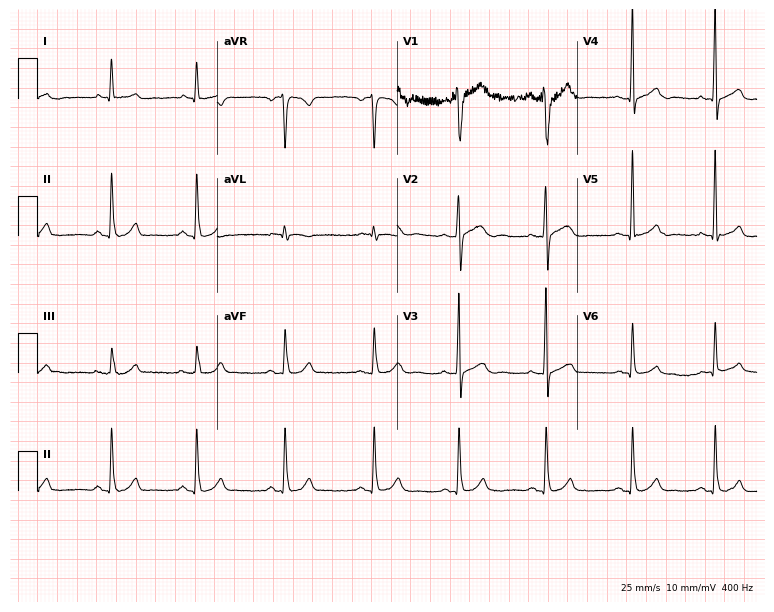
12-lead ECG (7.3-second recording at 400 Hz) from a 36-year-old male. Labelled as a normal ECG.